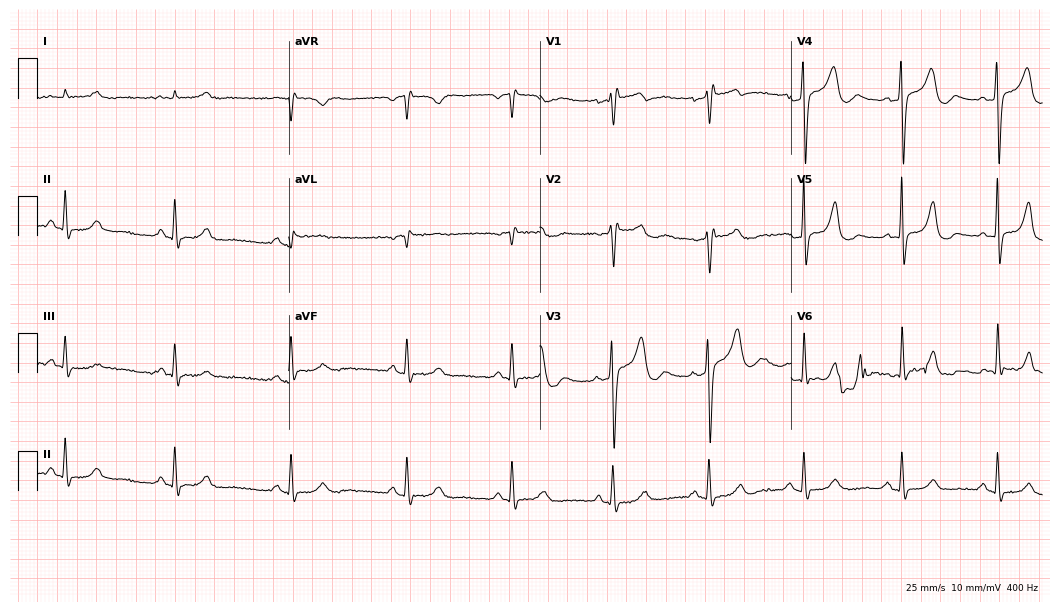
12-lead ECG (10.2-second recording at 400 Hz) from an 83-year-old male patient. Screened for six findings — first-degree AV block, right bundle branch block (RBBB), left bundle branch block (LBBB), sinus bradycardia, atrial fibrillation (AF), sinus tachycardia — none is recorded. Only these six findings were labelled.